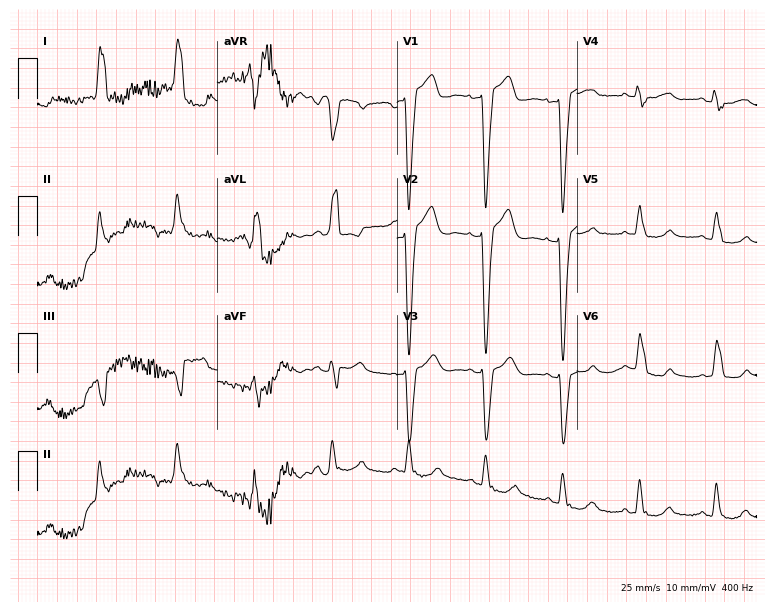
Standard 12-lead ECG recorded from a 64-year-old female patient (7.3-second recording at 400 Hz). The tracing shows left bundle branch block.